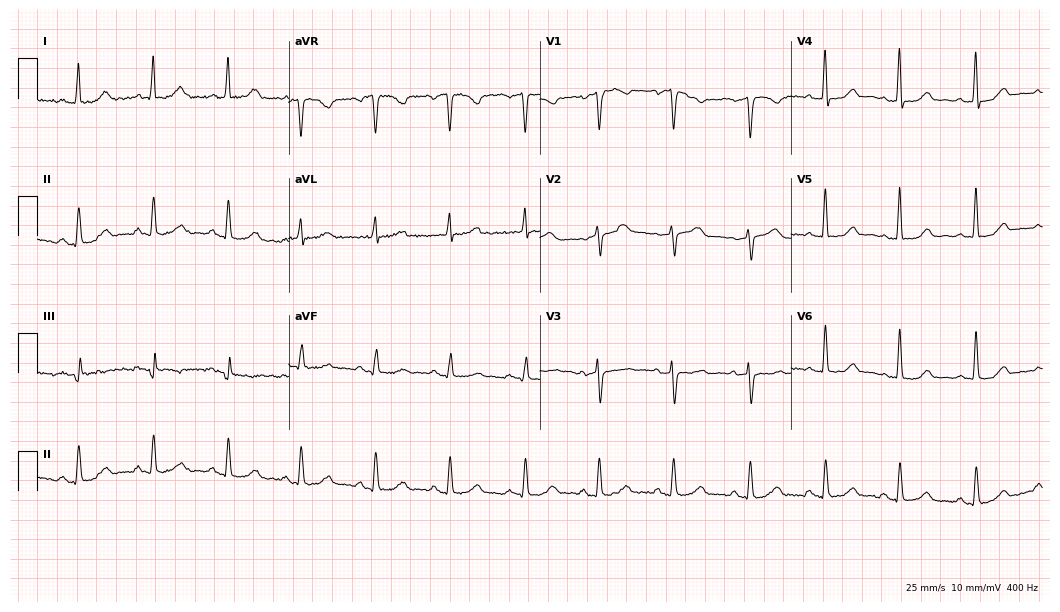
ECG — a female, 61 years old. Labelled as a normal ECG.